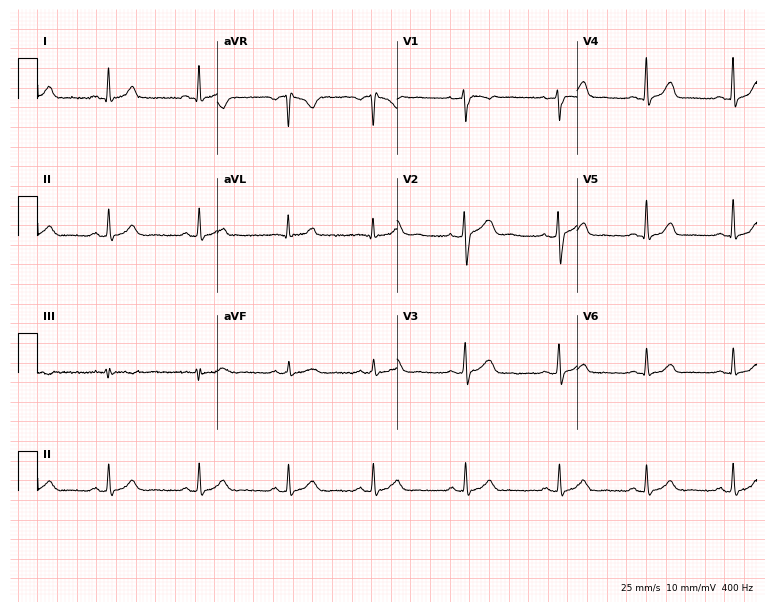
12-lead ECG from a 33-year-old woman. Screened for six findings — first-degree AV block, right bundle branch block (RBBB), left bundle branch block (LBBB), sinus bradycardia, atrial fibrillation (AF), sinus tachycardia — none is recorded. Other findings, if any, are not listed.